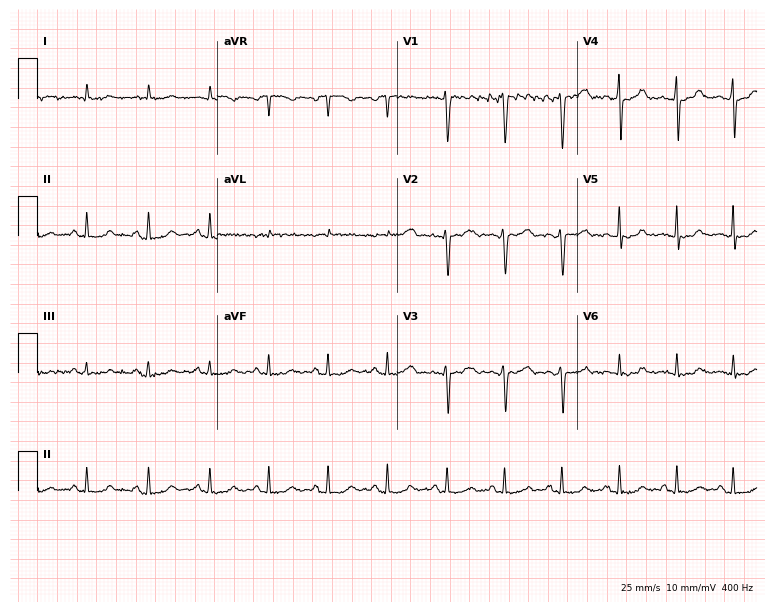
Standard 12-lead ECG recorded from a 24-year-old woman (7.3-second recording at 400 Hz). The tracing shows sinus tachycardia (a sinus rate of 100 beats per minute or more).